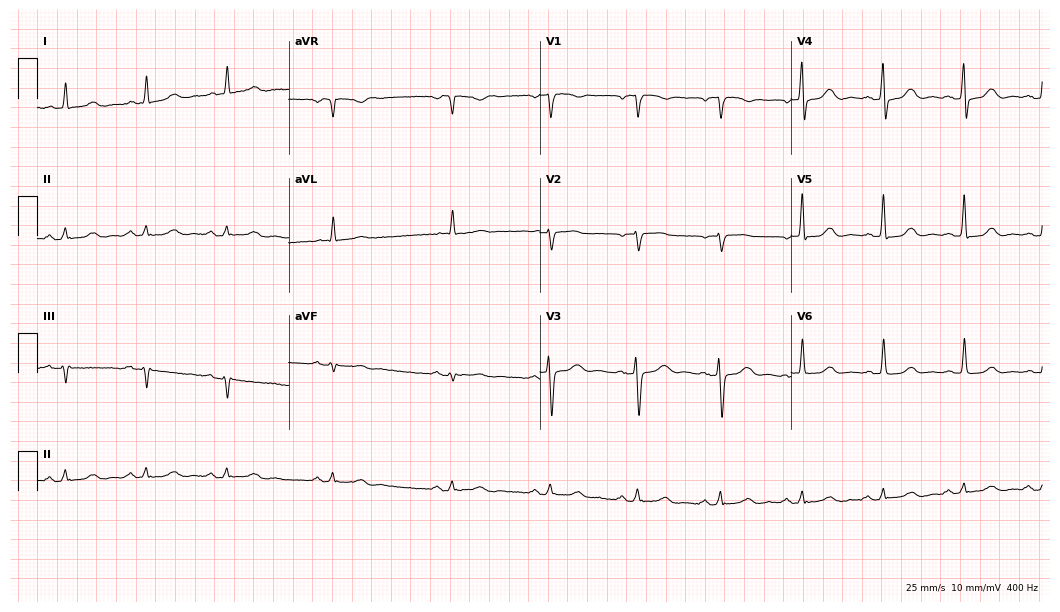
ECG — an 82-year-old female. Screened for six findings — first-degree AV block, right bundle branch block, left bundle branch block, sinus bradycardia, atrial fibrillation, sinus tachycardia — none is recorded.